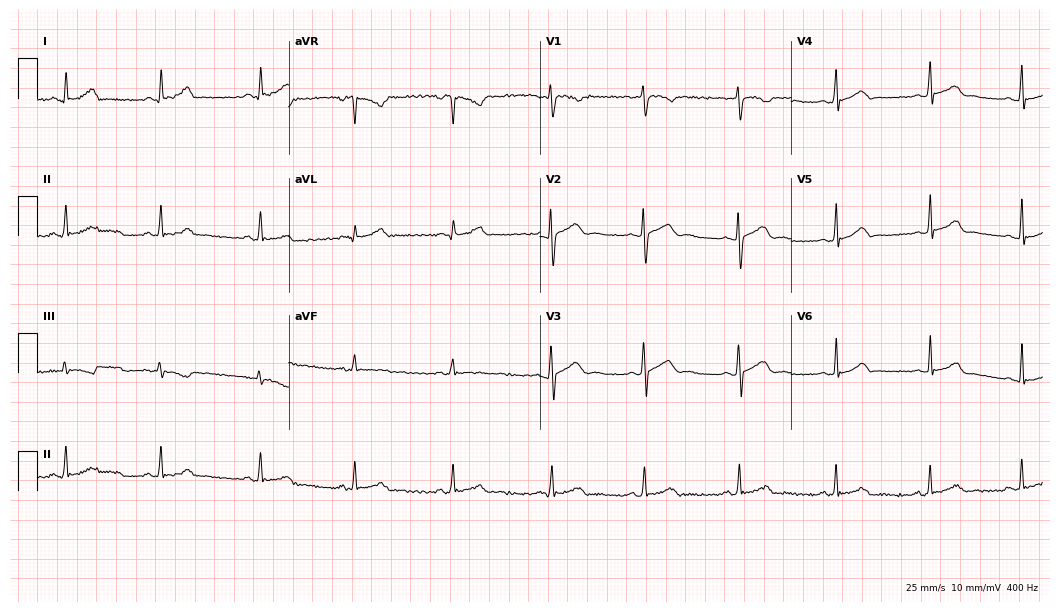
Standard 12-lead ECG recorded from a 25-year-old female patient (10.2-second recording at 400 Hz). Read as a normal ECG.